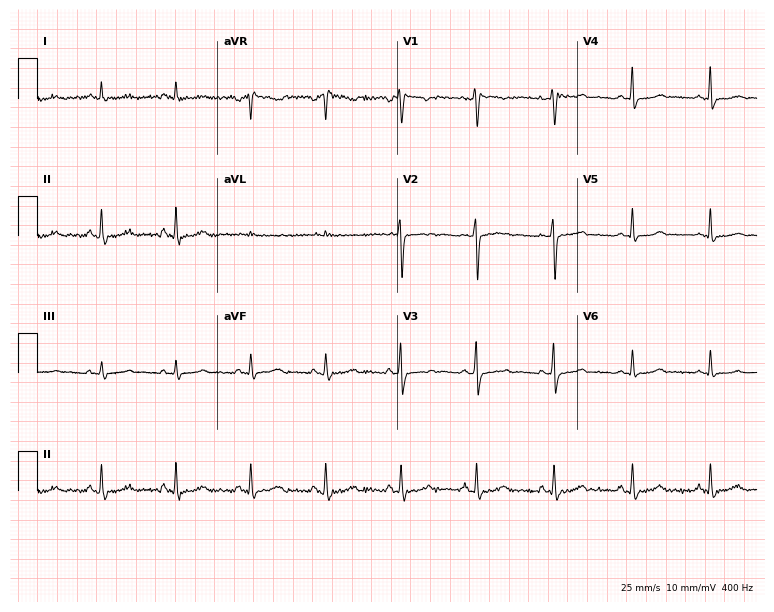
ECG (7.3-second recording at 400 Hz) — a 32-year-old female. Screened for six findings — first-degree AV block, right bundle branch block (RBBB), left bundle branch block (LBBB), sinus bradycardia, atrial fibrillation (AF), sinus tachycardia — none is recorded.